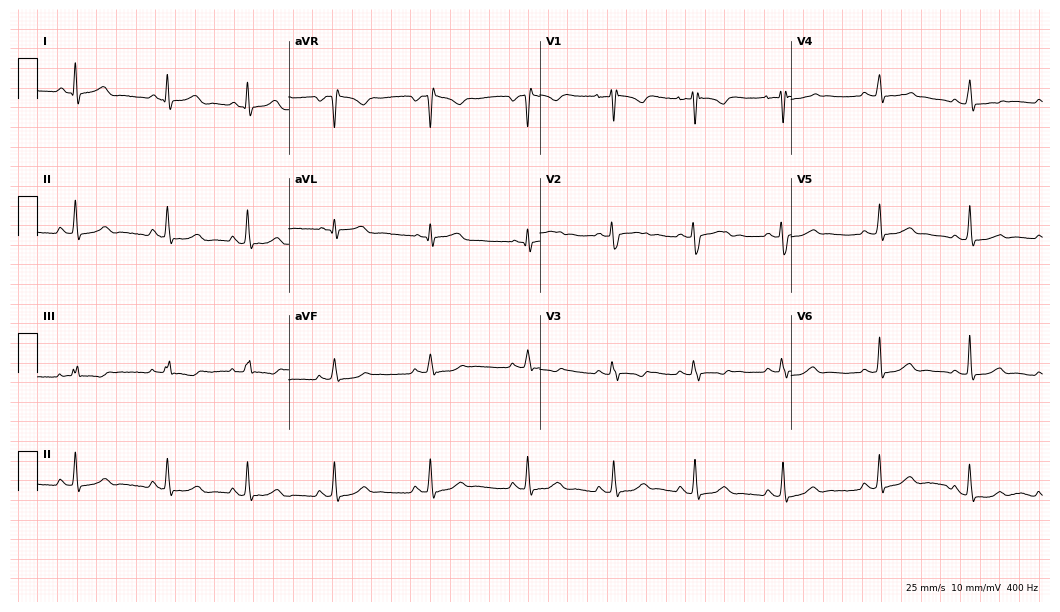
Resting 12-lead electrocardiogram (10.2-second recording at 400 Hz). Patient: a female, 25 years old. Read as a normal ECG.